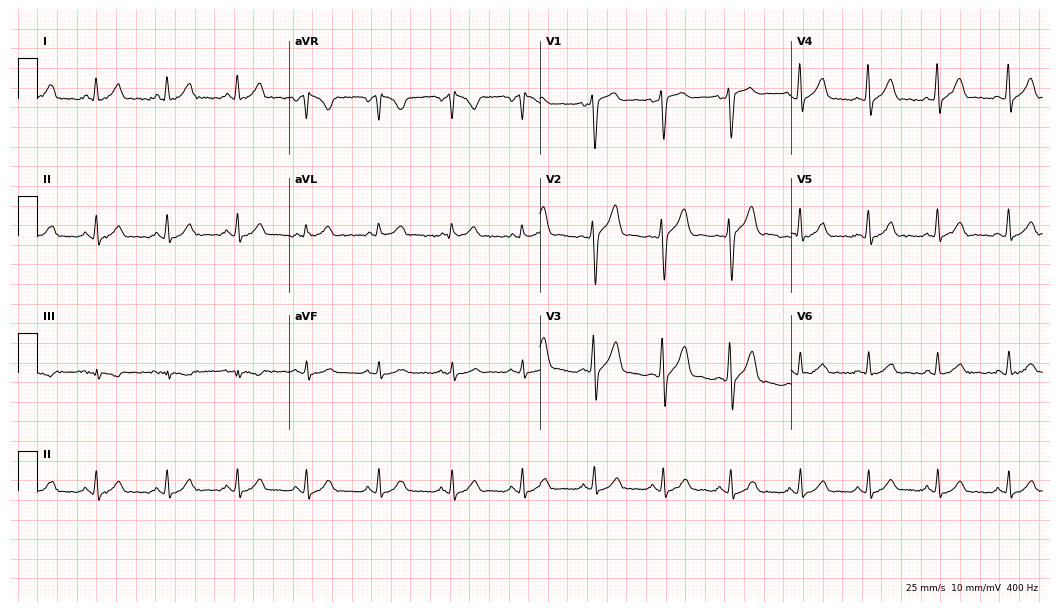
Electrocardiogram, a 47-year-old female patient. Overall reading on record: normal ECG.